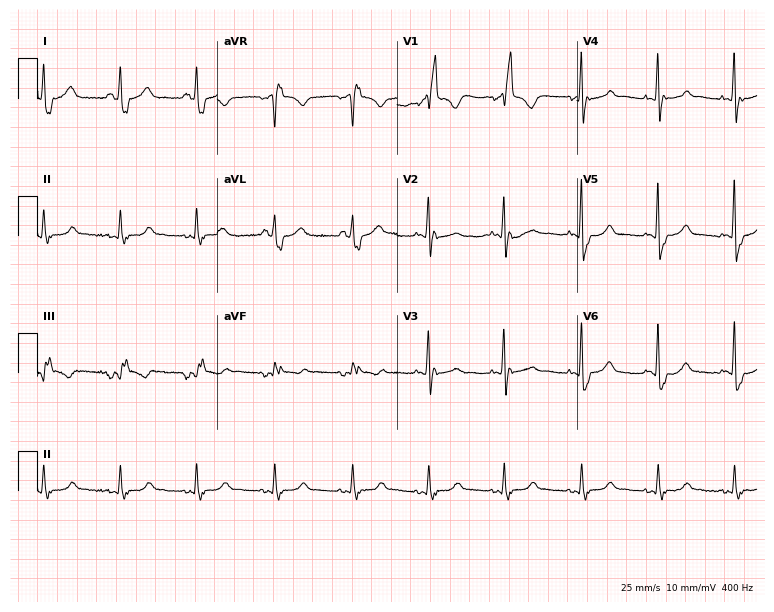
12-lead ECG from a female patient, 78 years old (7.3-second recording at 400 Hz). Shows right bundle branch block (RBBB).